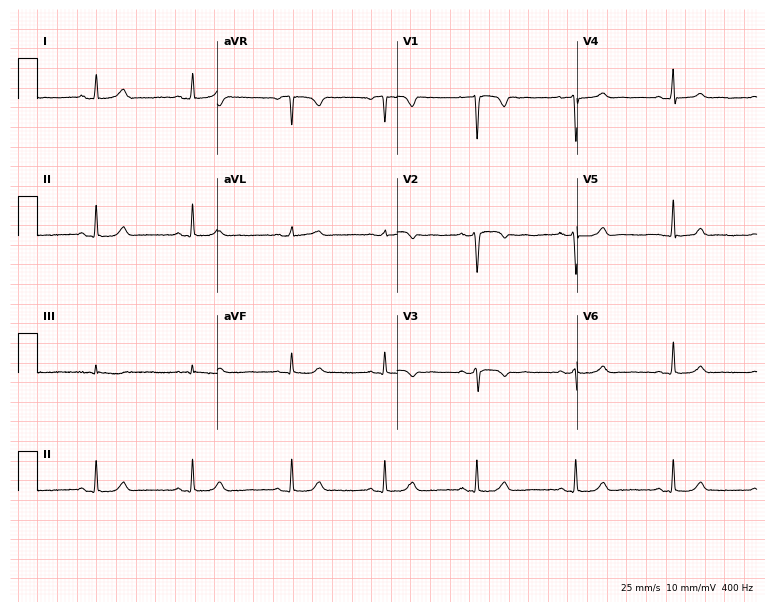
Resting 12-lead electrocardiogram (7.3-second recording at 400 Hz). Patient: a woman, 37 years old. Read as a normal ECG.